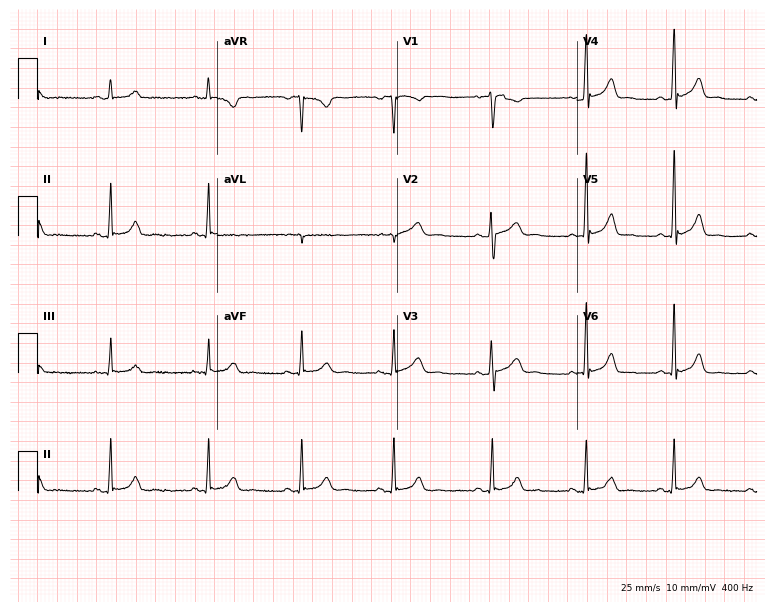
ECG — a 29-year-old female patient. Screened for six findings — first-degree AV block, right bundle branch block, left bundle branch block, sinus bradycardia, atrial fibrillation, sinus tachycardia — none is recorded.